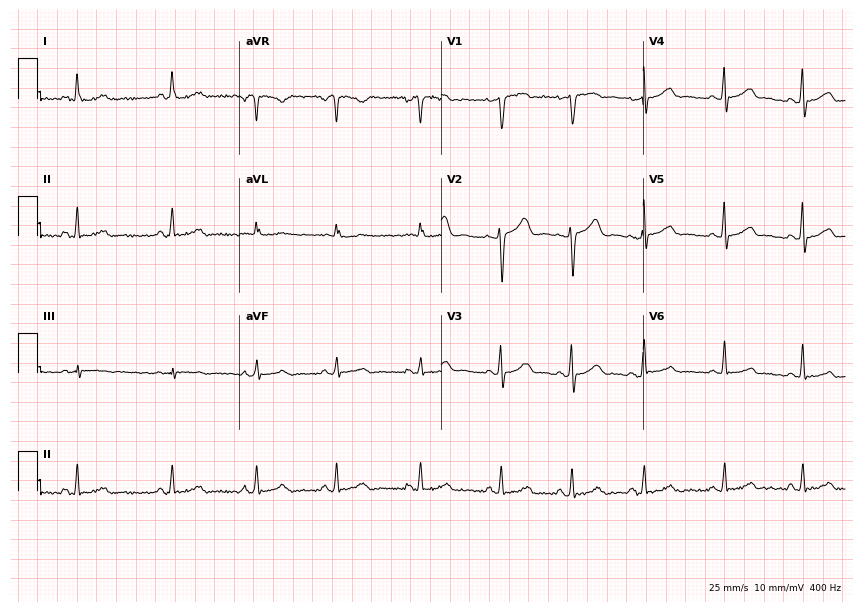
ECG — a woman, 36 years old. Labelled as a normal ECG.